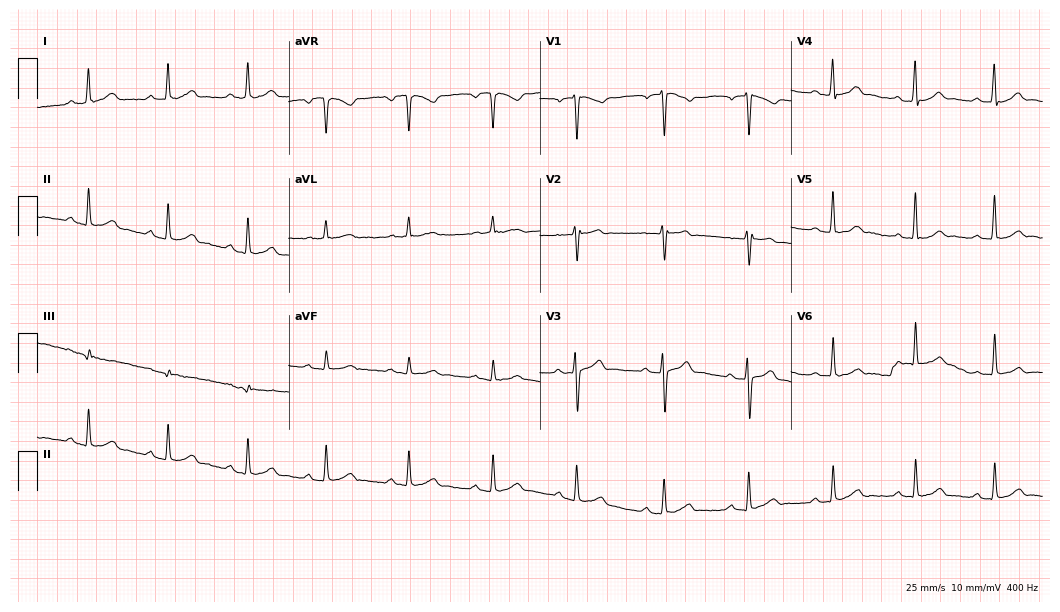
12-lead ECG (10.2-second recording at 400 Hz) from a 46-year-old male patient. Labelled as a normal ECG.